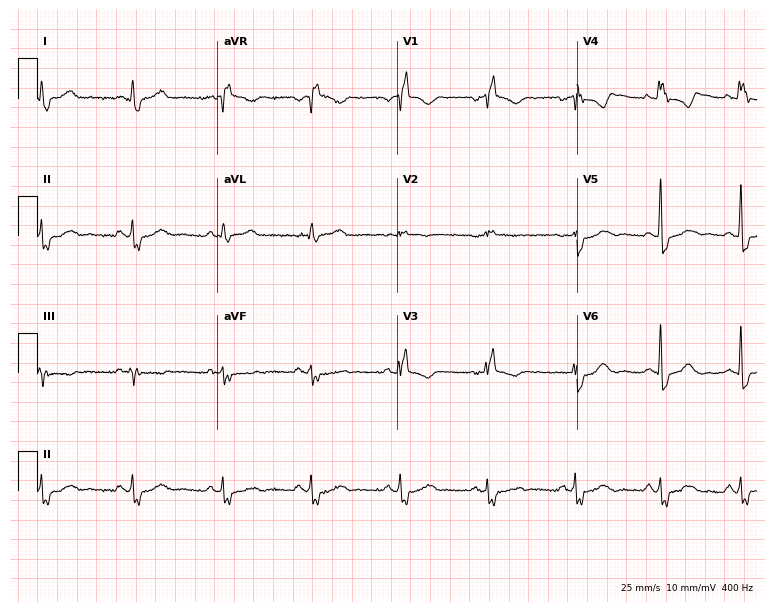
12-lead ECG from a 42-year-old woman. Findings include right bundle branch block.